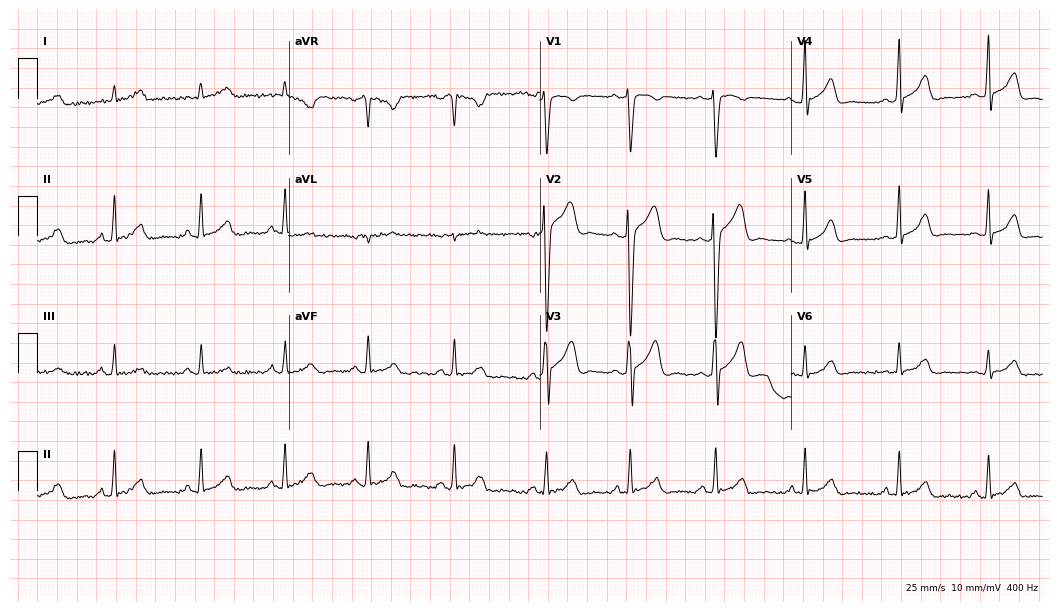
Resting 12-lead electrocardiogram. Patient: a male, 30 years old. Read as a normal ECG.